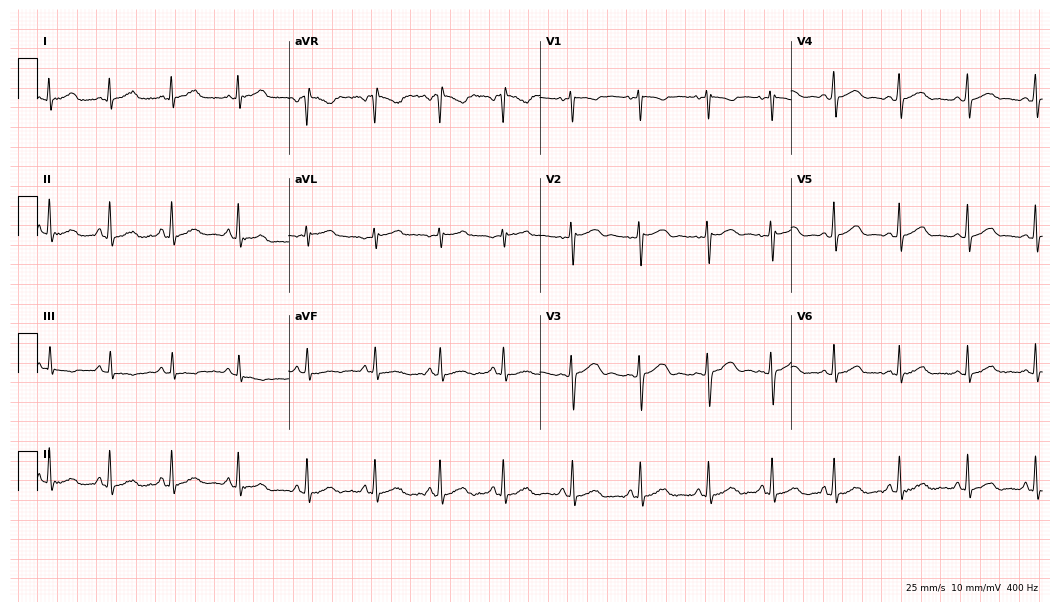
12-lead ECG (10.2-second recording at 400 Hz) from an 18-year-old woman. Screened for six findings — first-degree AV block, right bundle branch block, left bundle branch block, sinus bradycardia, atrial fibrillation, sinus tachycardia — none is recorded.